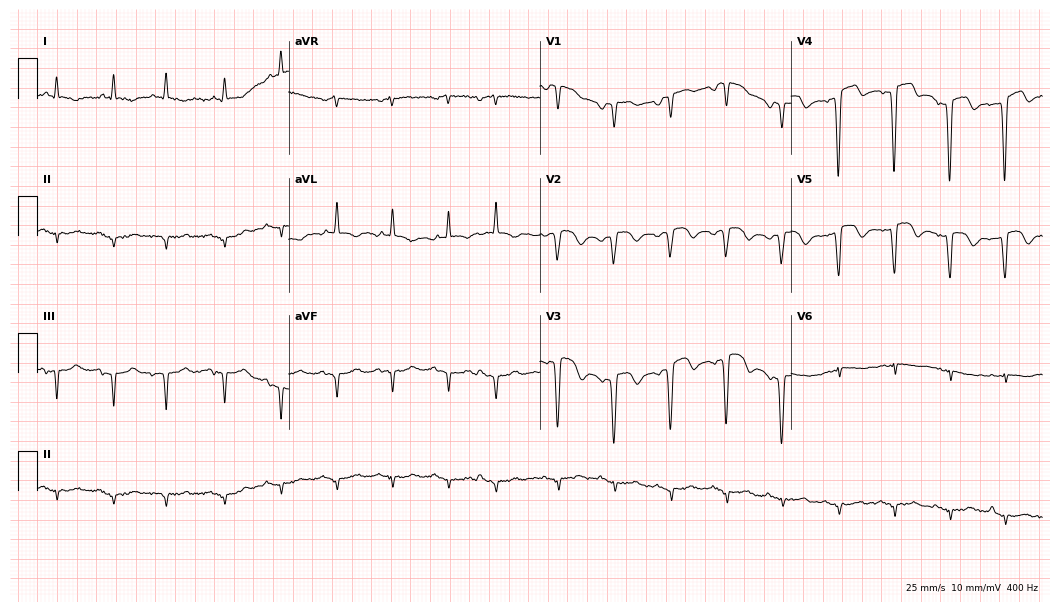
12-lead ECG from an 82-year-old female patient (10.2-second recording at 400 Hz). Shows sinus tachycardia (a sinus rate of 100 beats per minute or more).